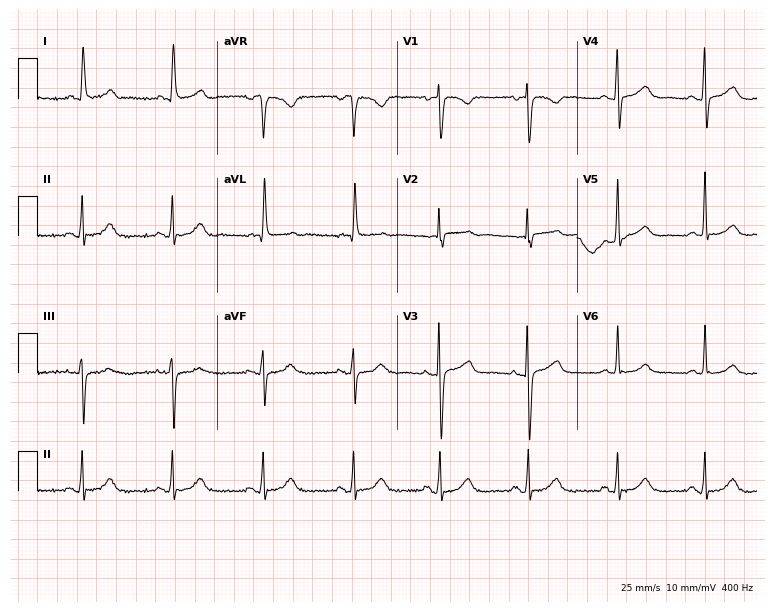
Resting 12-lead electrocardiogram (7.3-second recording at 400 Hz). Patient: a woman, 77 years old. Read as a normal ECG.